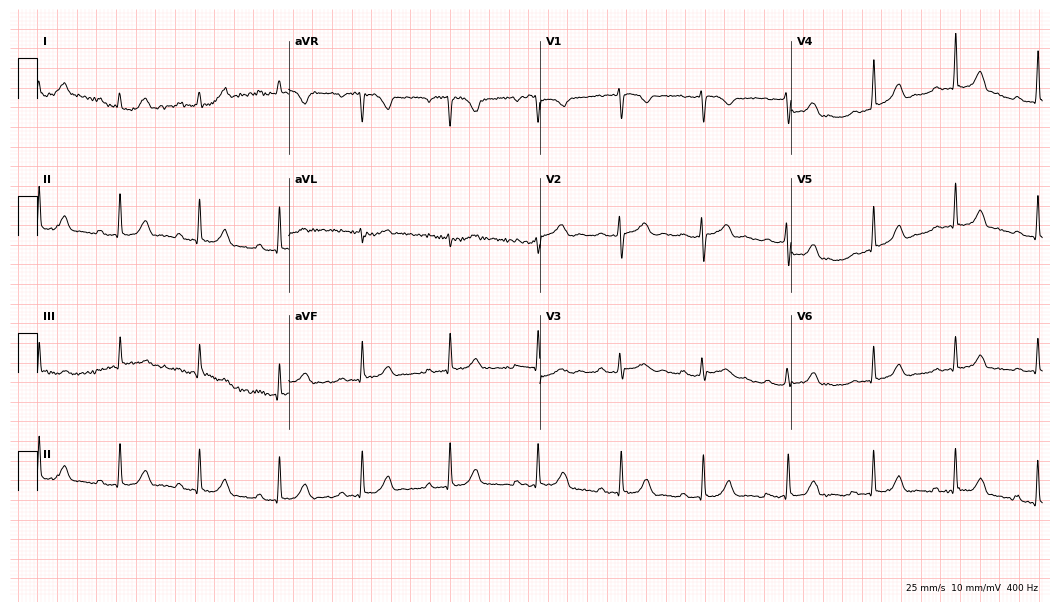
Resting 12-lead electrocardiogram (10.2-second recording at 400 Hz). Patient: a 26-year-old female. Read as a normal ECG.